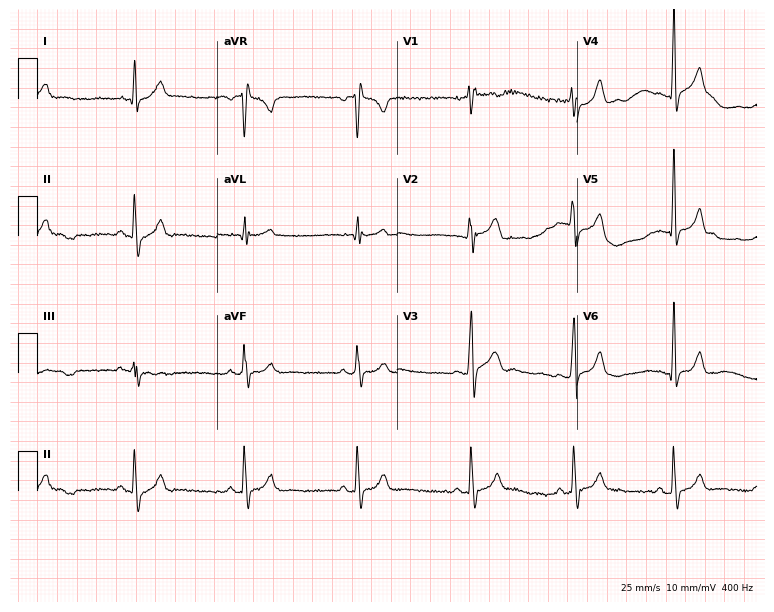
Resting 12-lead electrocardiogram. Patient: an 18-year-old male. Read as a normal ECG.